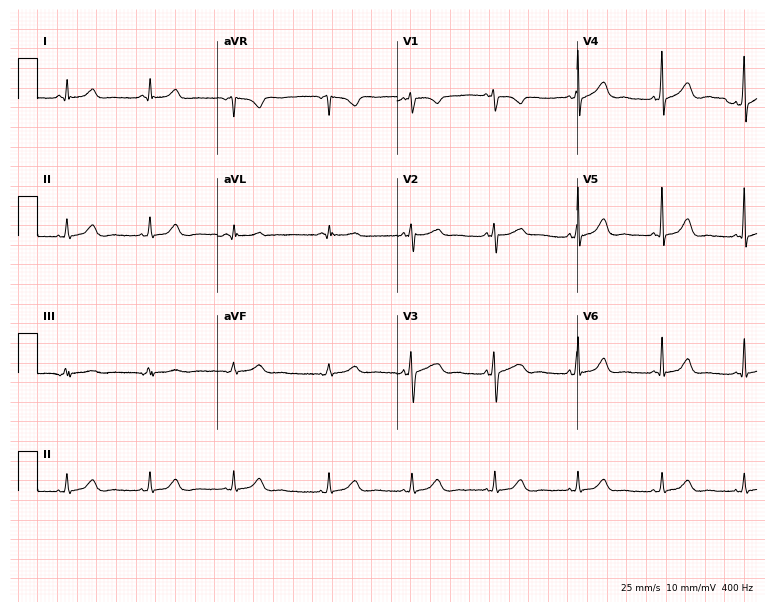
12-lead ECG from a 51-year-old female (7.3-second recording at 400 Hz). No first-degree AV block, right bundle branch block, left bundle branch block, sinus bradycardia, atrial fibrillation or sinus tachycardia recorded for this tracing. Only these six findings were labelled.